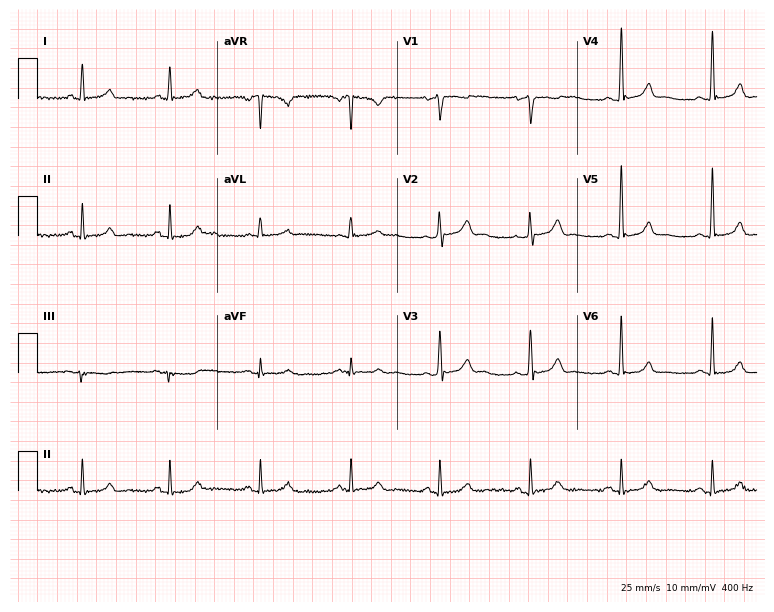
Standard 12-lead ECG recorded from a 65-year-old male patient. None of these six findings is recorded: first-degree AV block, right bundle branch block, left bundle branch block, sinus bradycardia, atrial fibrillation, sinus tachycardia.